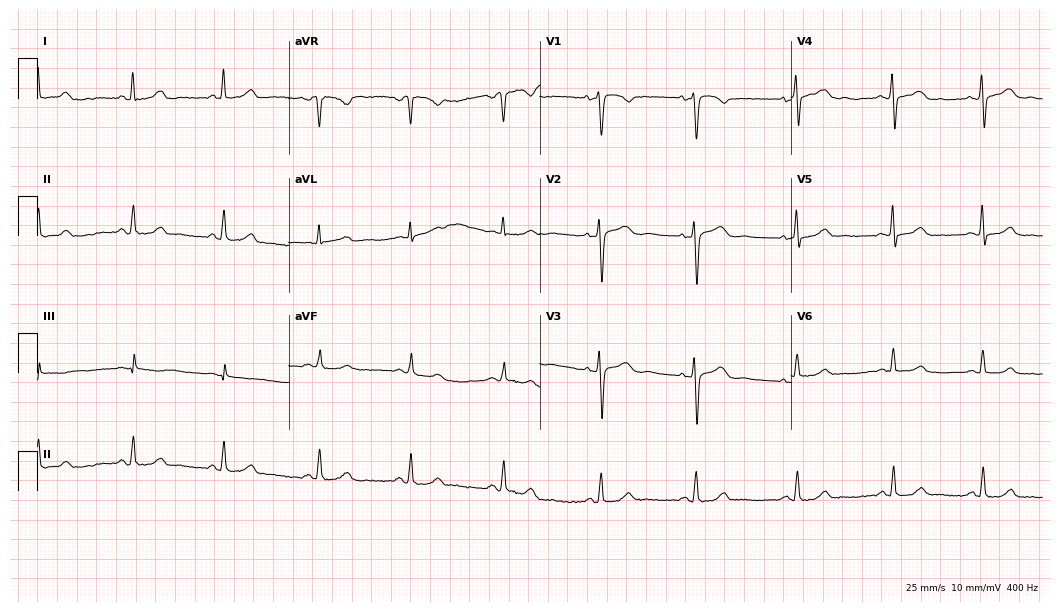
12-lead ECG from a woman, 37 years old (10.2-second recording at 400 Hz). Recorded interpretation: within normal limits.